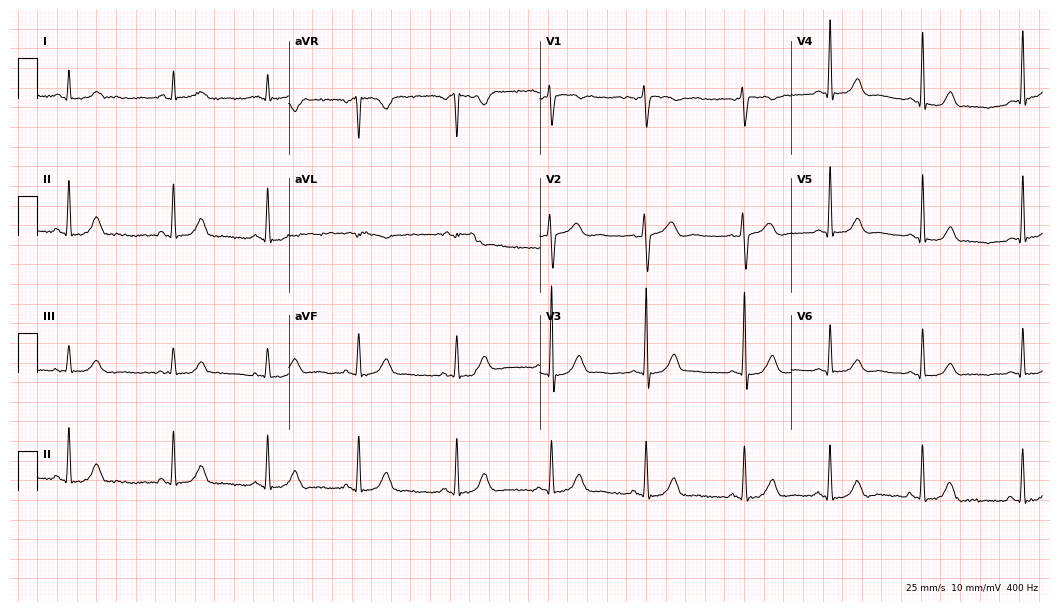
12-lead ECG from a 27-year-old female patient (10.2-second recording at 400 Hz). Recorded interpretation: within normal limits.